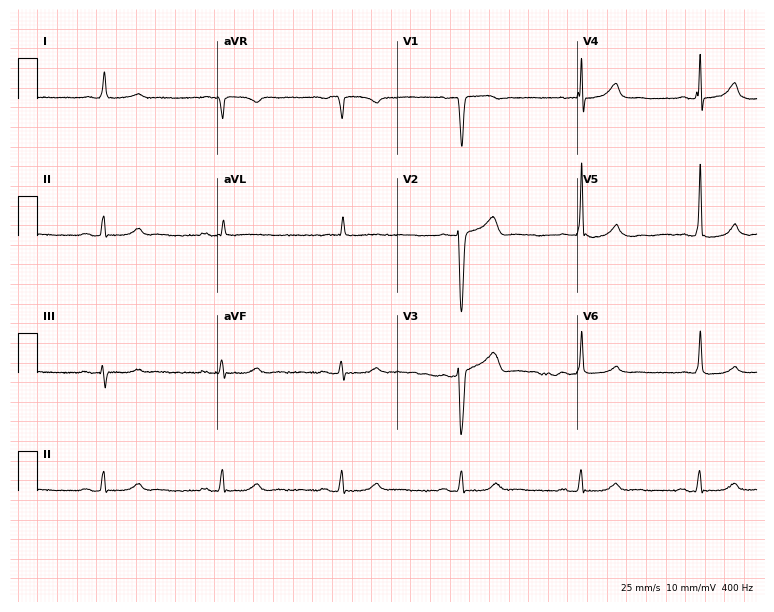
Electrocardiogram, a man, 82 years old. Overall reading on record: normal ECG.